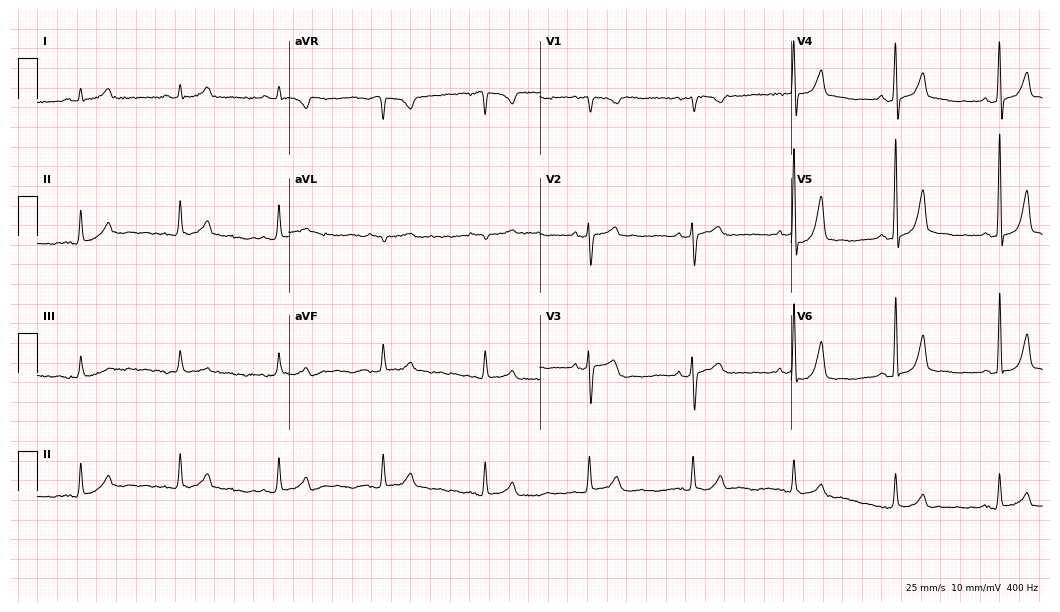
Standard 12-lead ECG recorded from a 71-year-old male patient (10.2-second recording at 400 Hz). None of these six findings is recorded: first-degree AV block, right bundle branch block (RBBB), left bundle branch block (LBBB), sinus bradycardia, atrial fibrillation (AF), sinus tachycardia. Other findings, if any, are not listed.